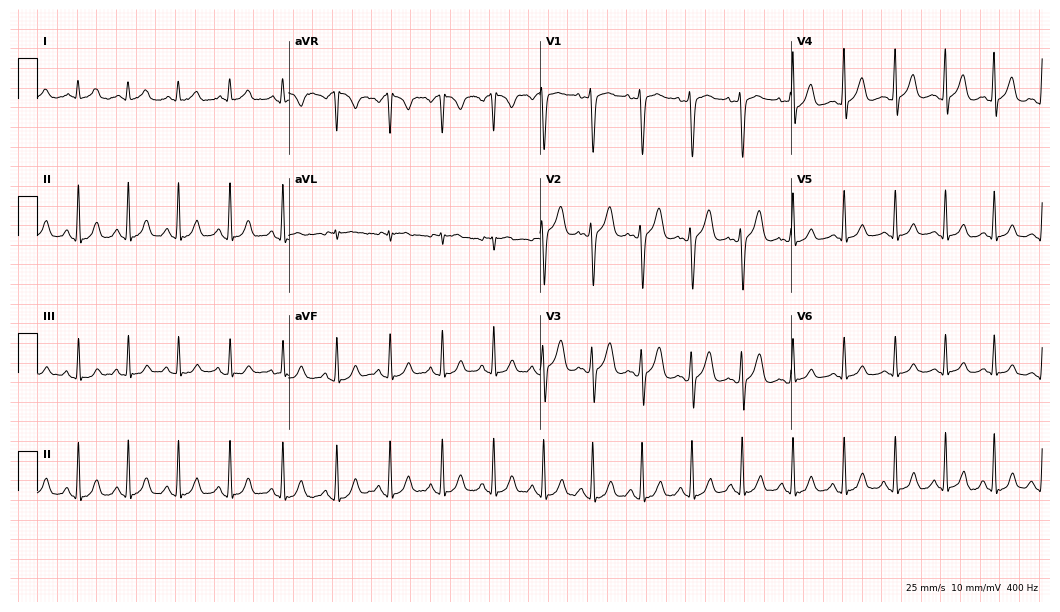
12-lead ECG from a male, 19 years old (10.2-second recording at 400 Hz). Shows sinus tachycardia (a sinus rate of 100 beats per minute or more).